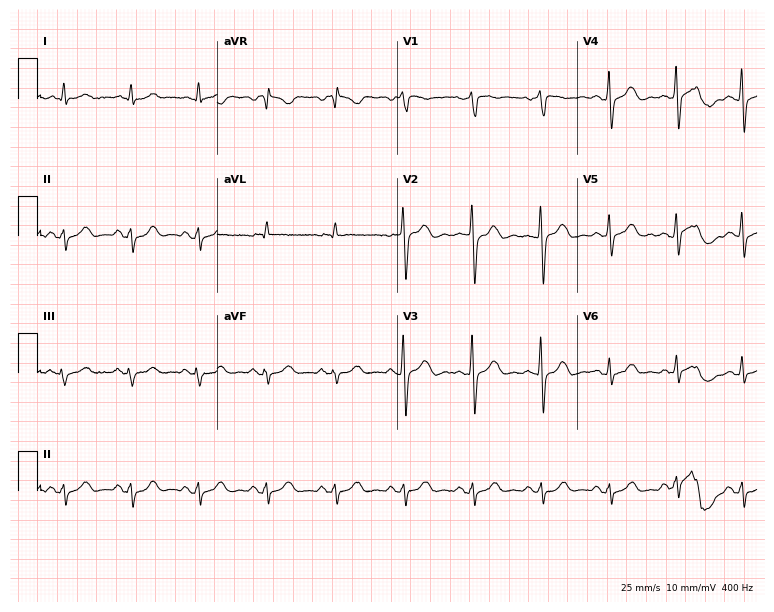
Electrocardiogram (7.3-second recording at 400 Hz), a 61-year-old male patient. Of the six screened findings (first-degree AV block, right bundle branch block, left bundle branch block, sinus bradycardia, atrial fibrillation, sinus tachycardia), none is recorded. Other findings, if any, are not listed.